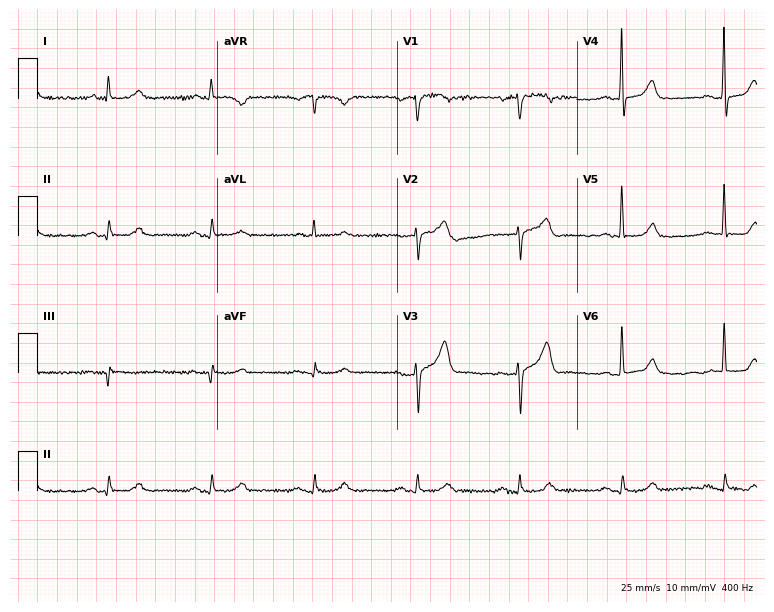
Standard 12-lead ECG recorded from a 66-year-old female patient (7.3-second recording at 400 Hz). Read as a normal ECG.